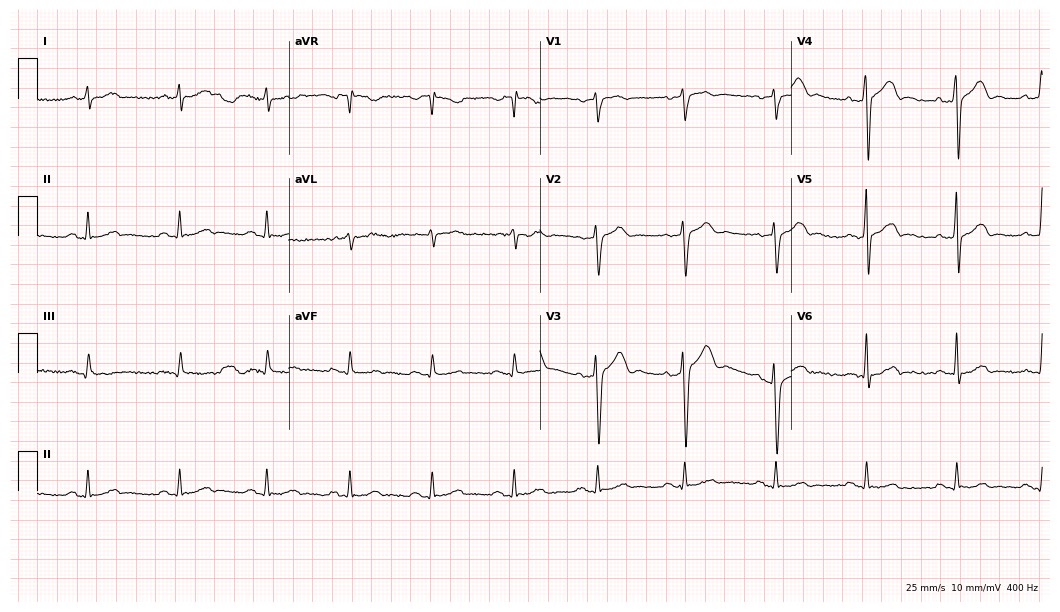
Standard 12-lead ECG recorded from a 42-year-old male patient. Read as a normal ECG.